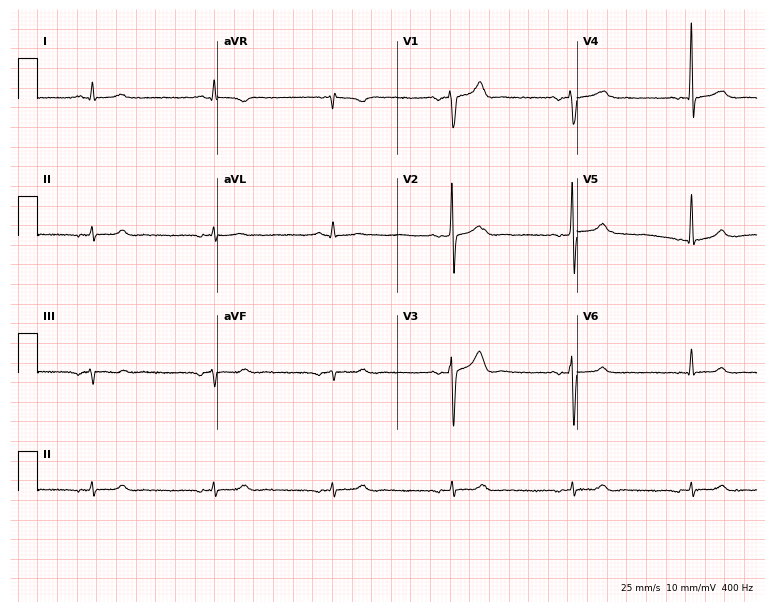
12-lead ECG (7.3-second recording at 400 Hz) from a male patient, 47 years old. Screened for six findings — first-degree AV block, right bundle branch block, left bundle branch block, sinus bradycardia, atrial fibrillation, sinus tachycardia — none is recorded. Findings outside these six are not listed.